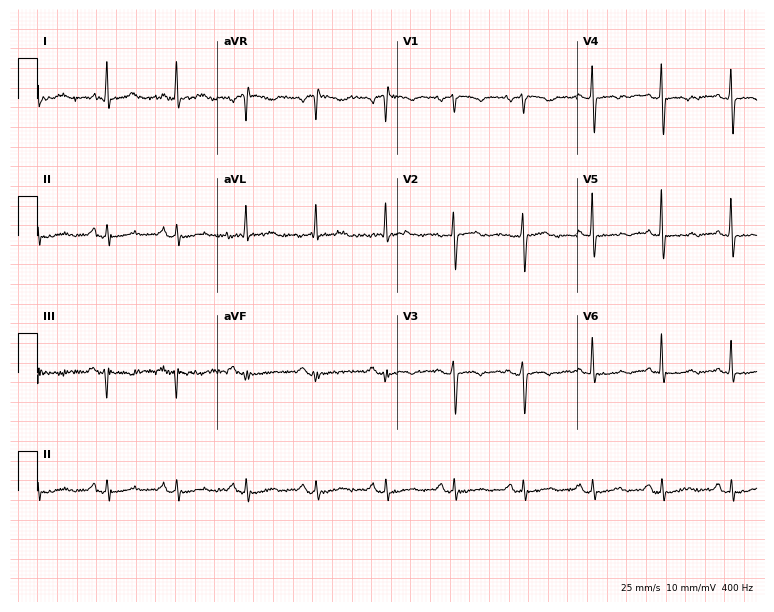
Resting 12-lead electrocardiogram. Patient: a woman, 78 years old. None of these six findings is recorded: first-degree AV block, right bundle branch block (RBBB), left bundle branch block (LBBB), sinus bradycardia, atrial fibrillation (AF), sinus tachycardia.